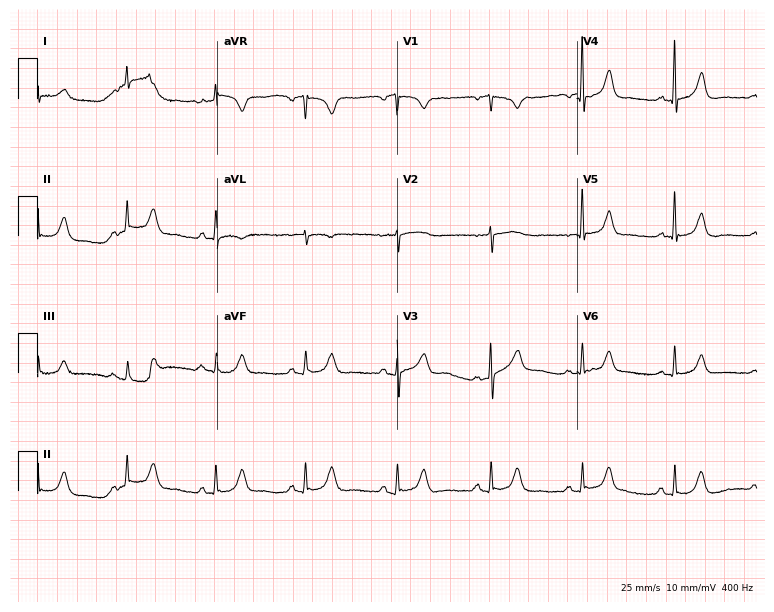
12-lead ECG from a 62-year-old female patient (7.3-second recording at 400 Hz). Recorded interpretation: within normal limits.